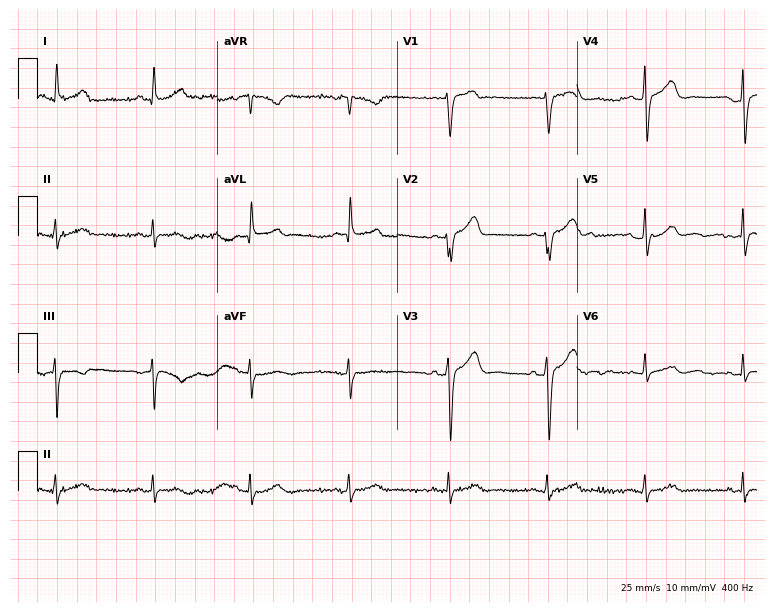
ECG — a male, 67 years old. Labelled as a normal ECG.